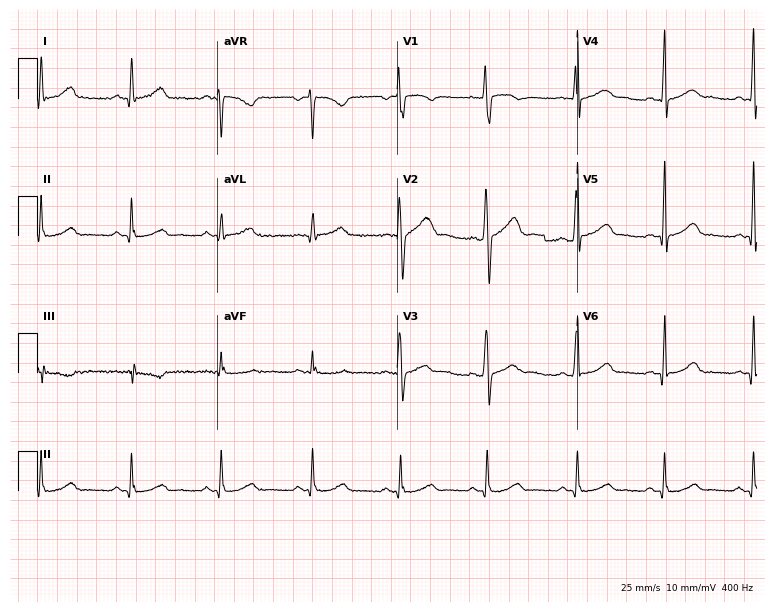
Electrocardiogram (7.3-second recording at 400 Hz), a man, 27 years old. Overall reading on record: normal ECG.